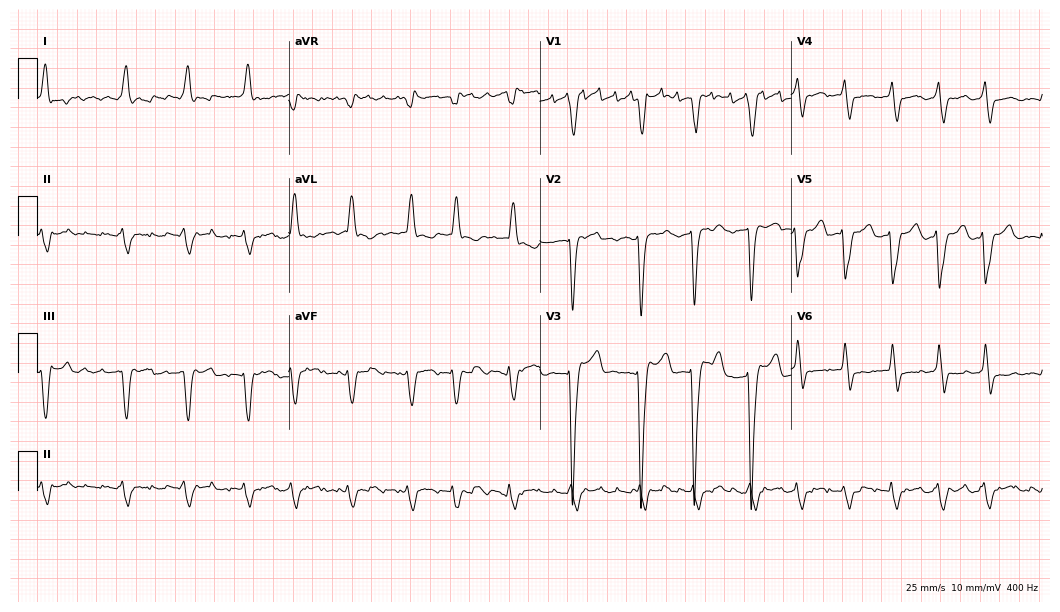
12-lead ECG (10.2-second recording at 400 Hz) from a 62-year-old man. Findings include left bundle branch block, atrial fibrillation.